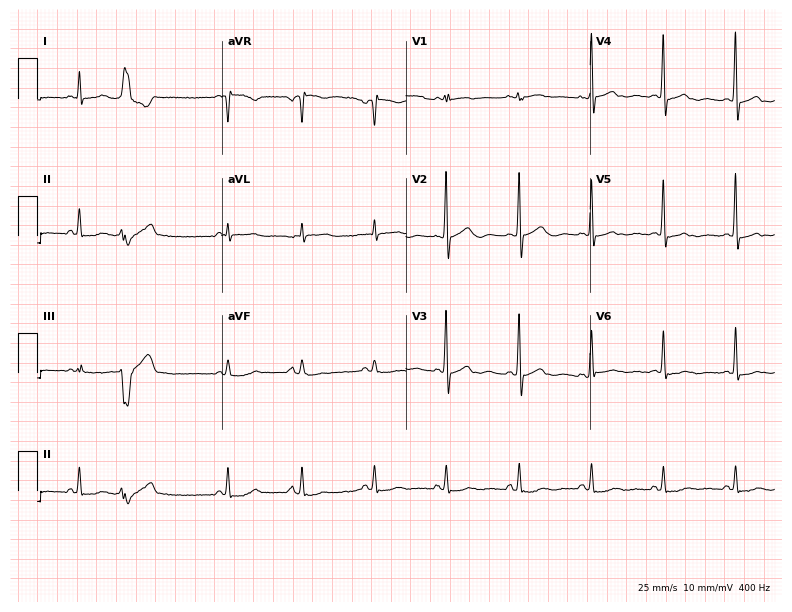
Resting 12-lead electrocardiogram (7.5-second recording at 400 Hz). Patient: a male, 73 years old. None of these six findings is recorded: first-degree AV block, right bundle branch block, left bundle branch block, sinus bradycardia, atrial fibrillation, sinus tachycardia. Findings outside these six are not listed.